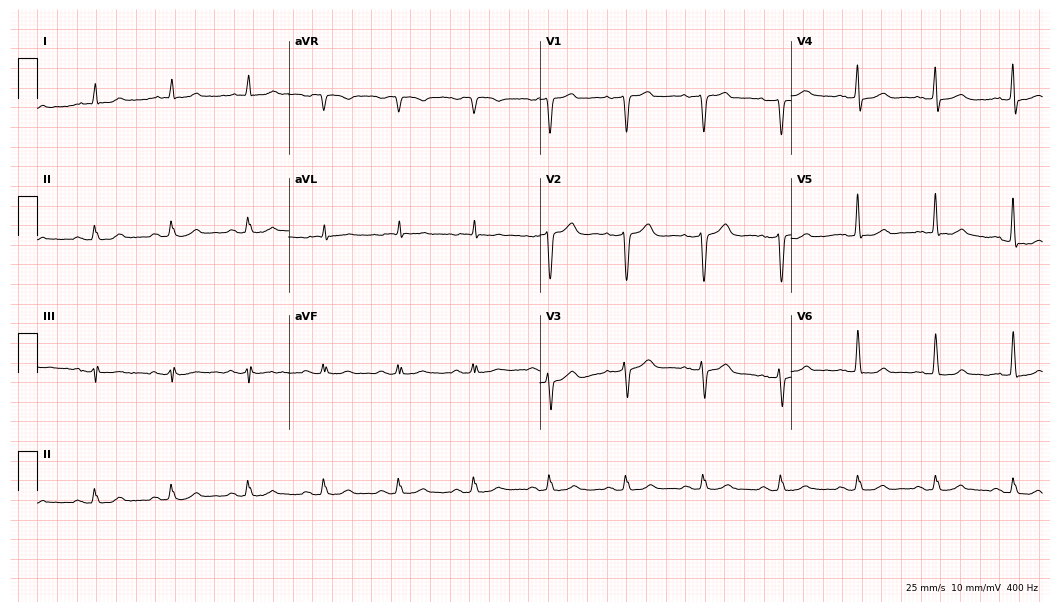
Standard 12-lead ECG recorded from a male patient, 78 years old (10.2-second recording at 400 Hz). None of these six findings is recorded: first-degree AV block, right bundle branch block (RBBB), left bundle branch block (LBBB), sinus bradycardia, atrial fibrillation (AF), sinus tachycardia. Findings outside these six are not listed.